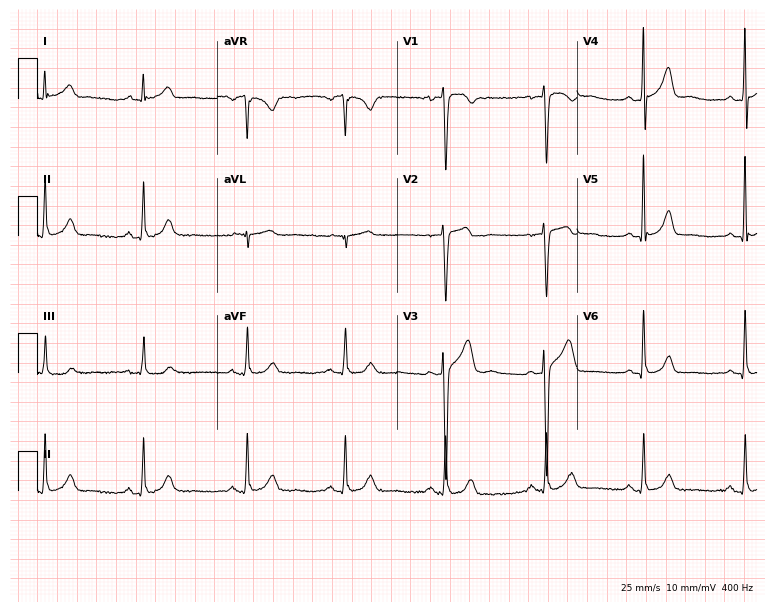
Electrocardiogram (7.3-second recording at 400 Hz), a 21-year-old man. Overall reading on record: normal ECG.